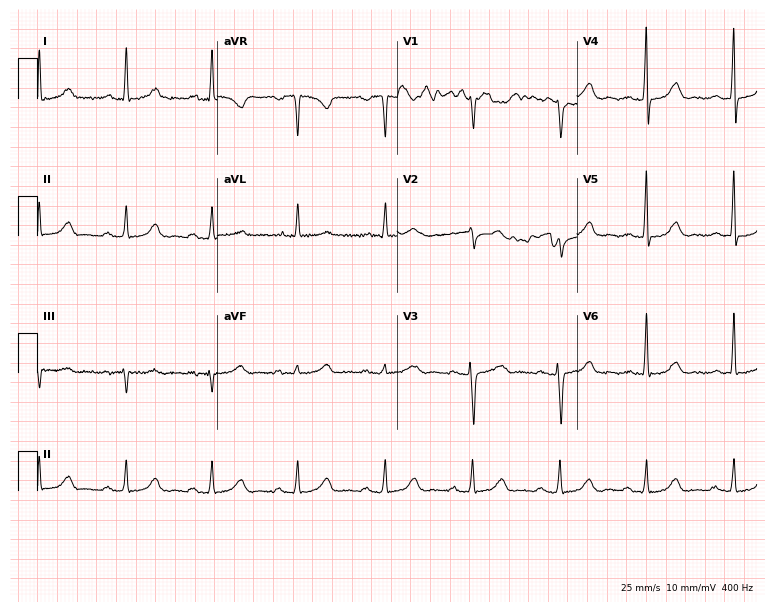
ECG — a 61-year-old female patient. Labelled as a normal ECG.